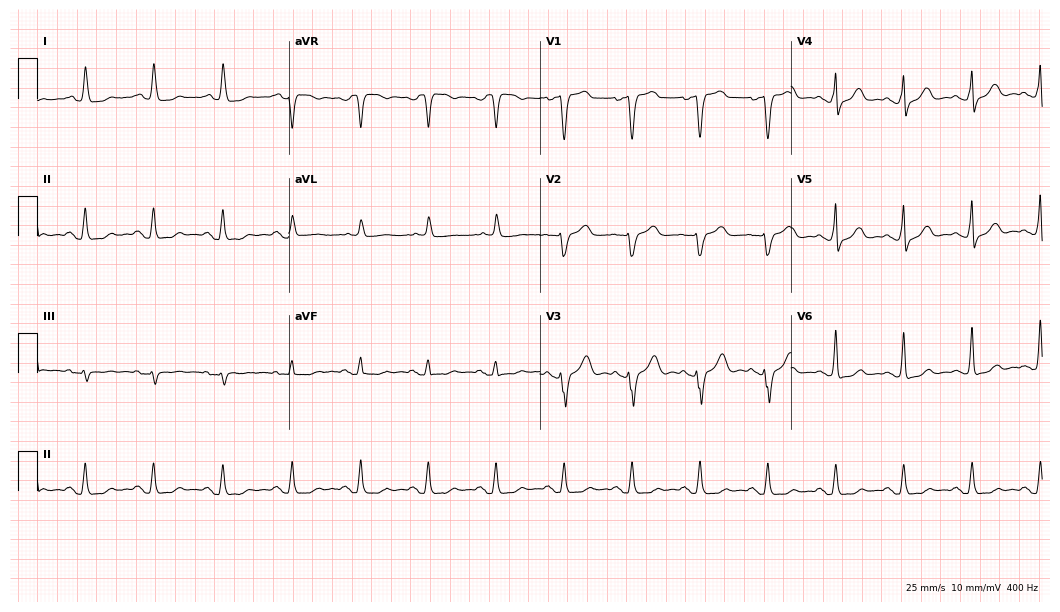
Standard 12-lead ECG recorded from a male, 83 years old (10.2-second recording at 400 Hz). None of these six findings is recorded: first-degree AV block, right bundle branch block, left bundle branch block, sinus bradycardia, atrial fibrillation, sinus tachycardia. Other findings, if any, are not listed.